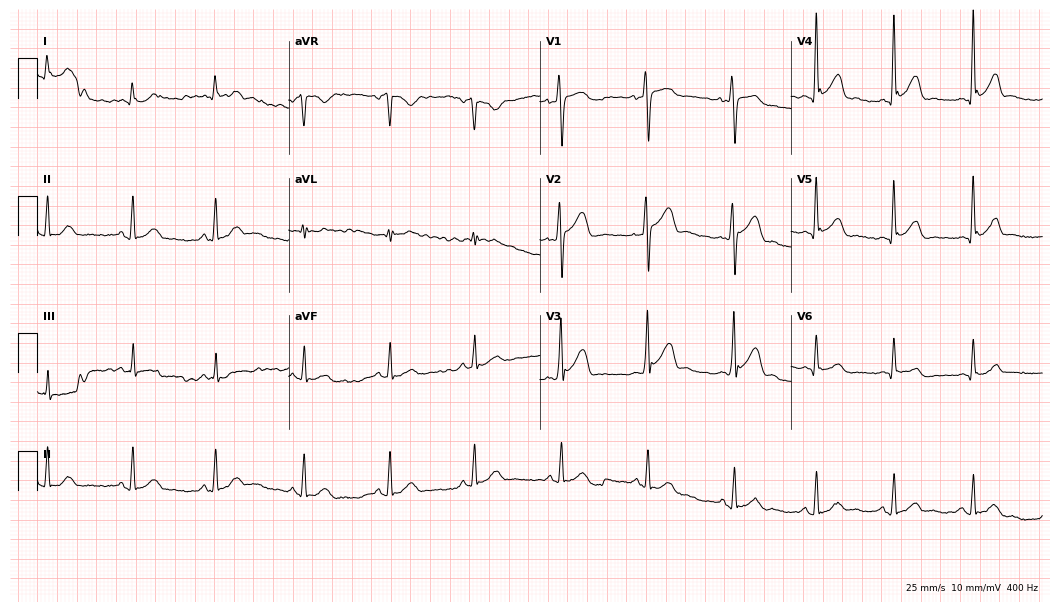
Standard 12-lead ECG recorded from a male, 24 years old (10.2-second recording at 400 Hz). Read as a normal ECG.